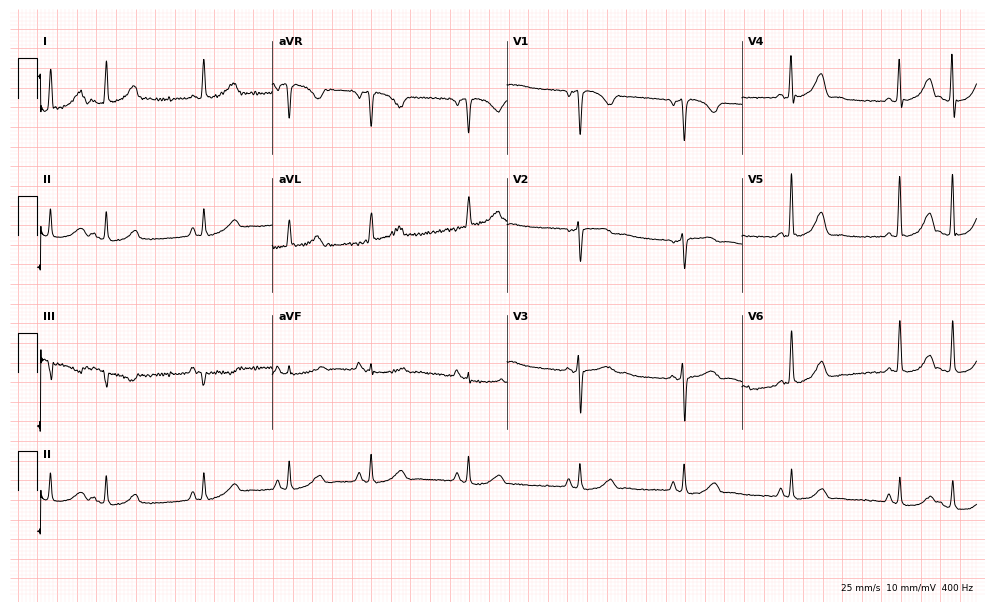
12-lead ECG (9.6-second recording at 400 Hz) from a 74-year-old female. Screened for six findings — first-degree AV block, right bundle branch block (RBBB), left bundle branch block (LBBB), sinus bradycardia, atrial fibrillation (AF), sinus tachycardia — none is recorded.